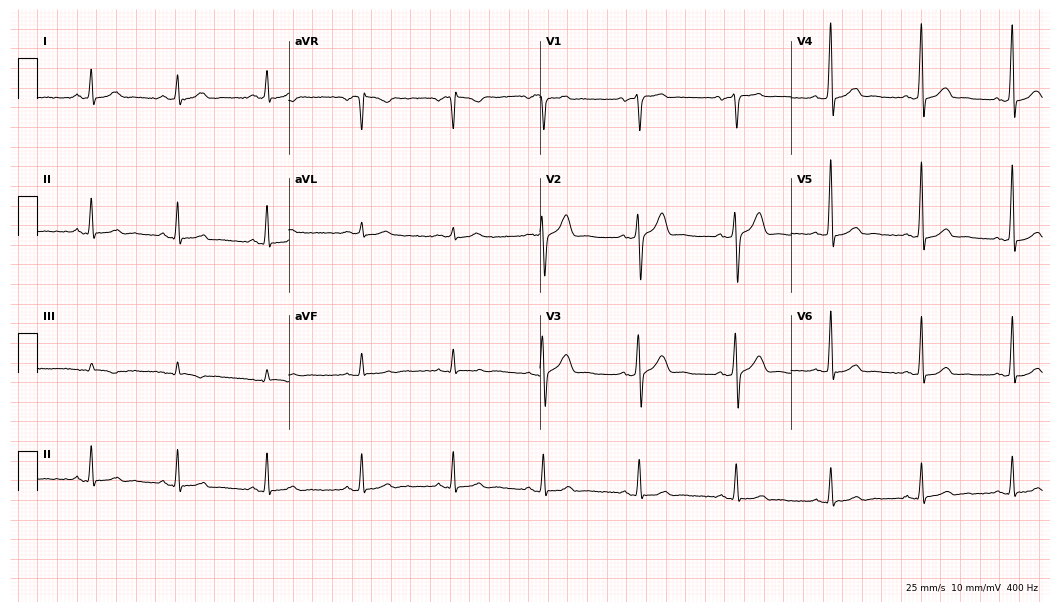
ECG (10.2-second recording at 400 Hz) — a 50-year-old male. Labelled as a normal ECG.